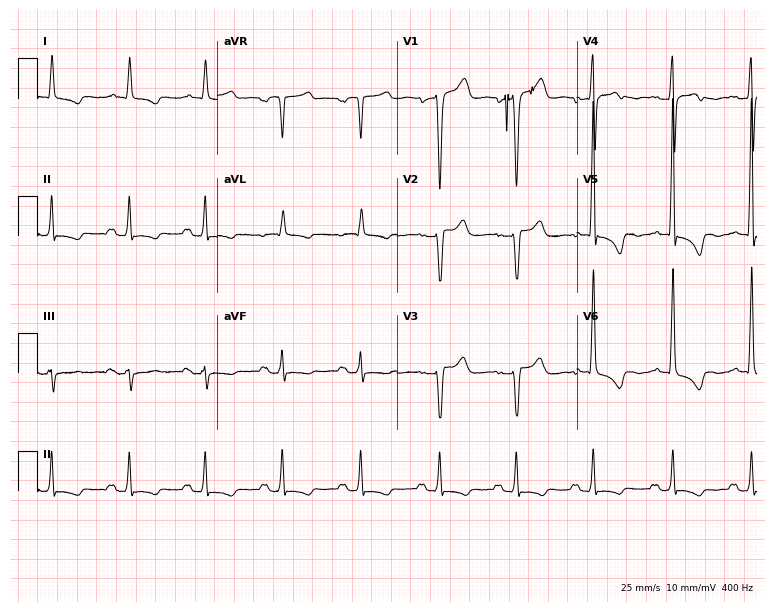
12-lead ECG from a male patient, 70 years old (7.3-second recording at 400 Hz). No first-degree AV block, right bundle branch block (RBBB), left bundle branch block (LBBB), sinus bradycardia, atrial fibrillation (AF) or sinus tachycardia recorded for this tracing.